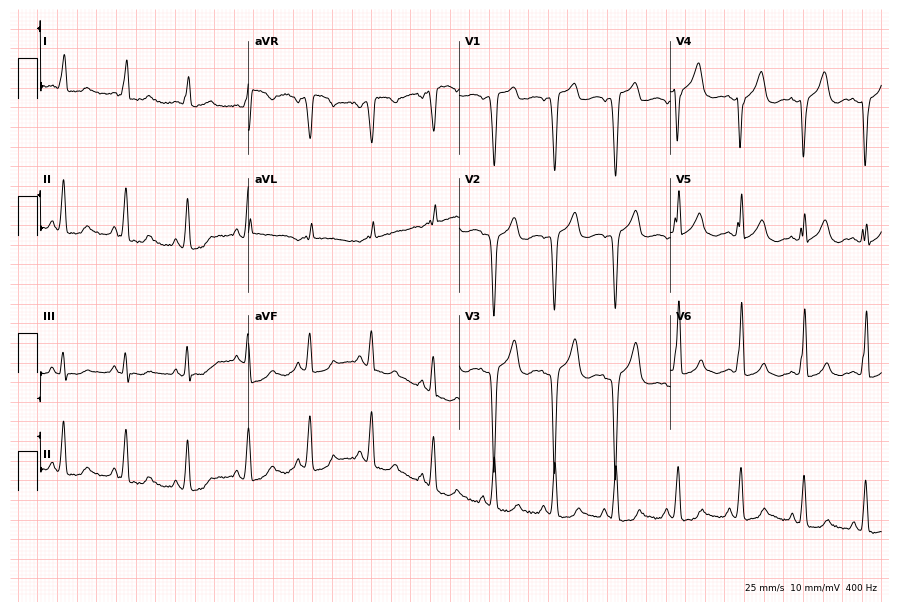
Standard 12-lead ECG recorded from a female, 74 years old (8.6-second recording at 400 Hz). None of these six findings is recorded: first-degree AV block, right bundle branch block, left bundle branch block, sinus bradycardia, atrial fibrillation, sinus tachycardia. Other findings, if any, are not listed.